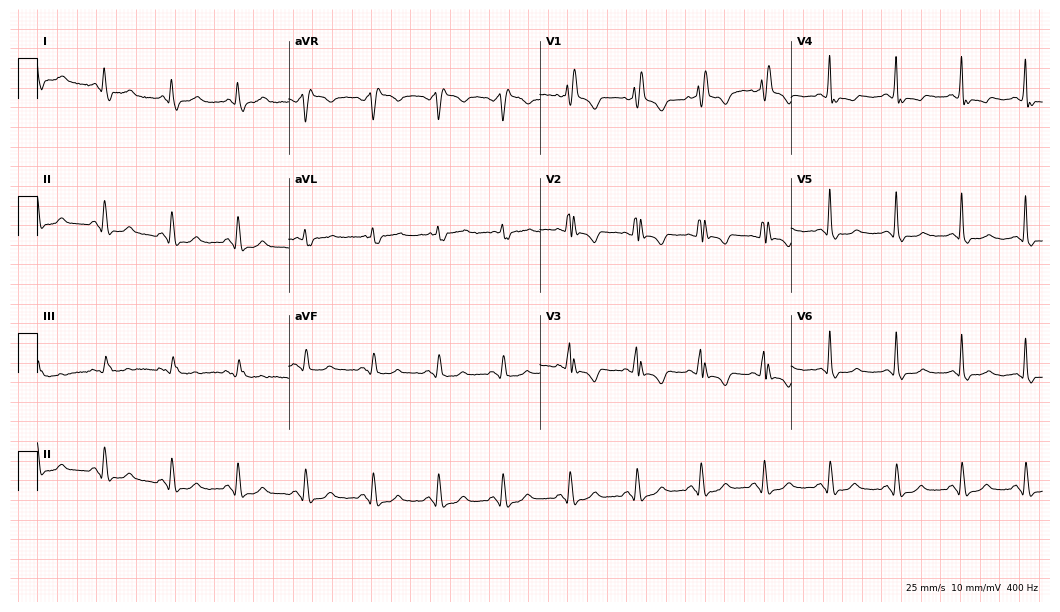
Resting 12-lead electrocardiogram (10.2-second recording at 400 Hz). Patient: a female, 55 years old. The tracing shows right bundle branch block.